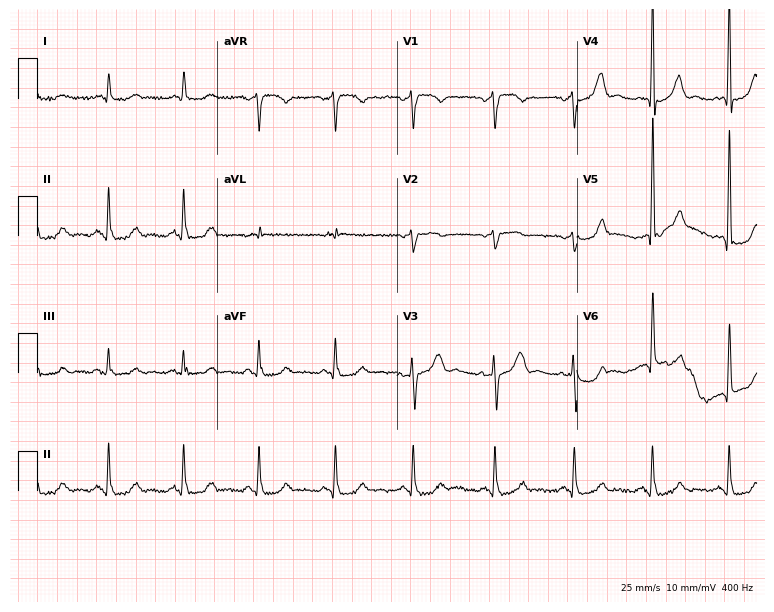
Resting 12-lead electrocardiogram (7.3-second recording at 400 Hz). Patient: a male, 78 years old. Read as a normal ECG.